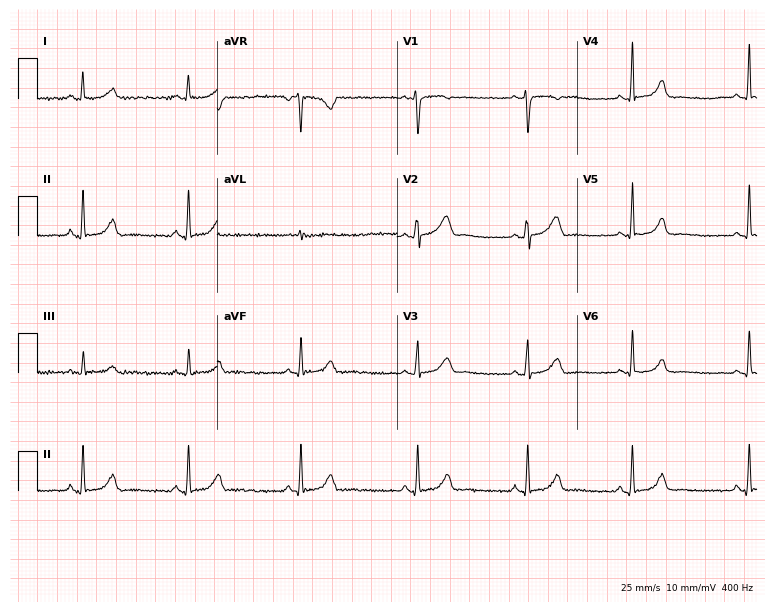
12-lead ECG from a female patient, 30 years old. Recorded interpretation: within normal limits.